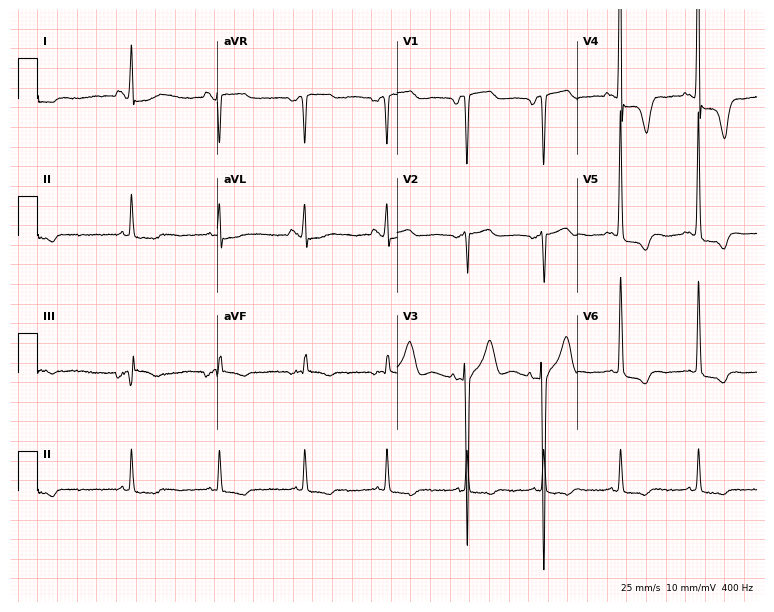
Electrocardiogram, a 78-year-old female patient. Of the six screened findings (first-degree AV block, right bundle branch block (RBBB), left bundle branch block (LBBB), sinus bradycardia, atrial fibrillation (AF), sinus tachycardia), none is recorded. Findings outside these six are not listed.